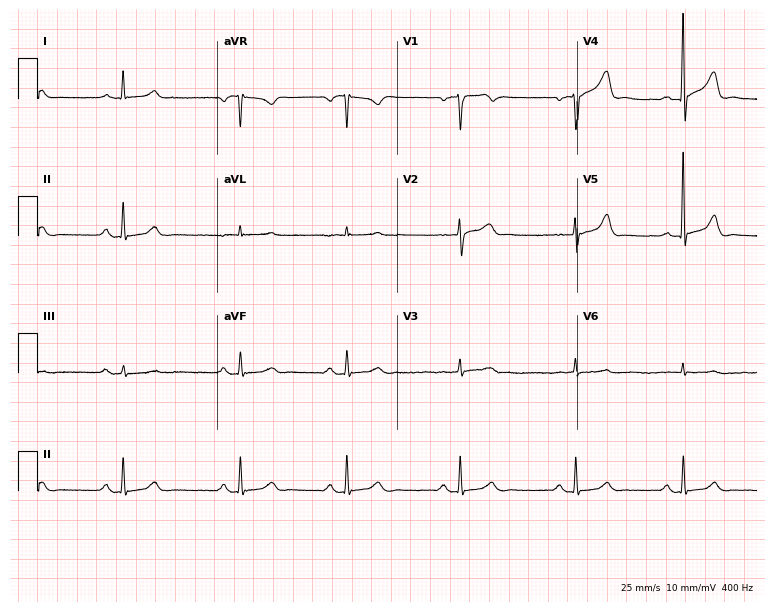
Standard 12-lead ECG recorded from a male, 63 years old (7.3-second recording at 400 Hz). Read as a normal ECG.